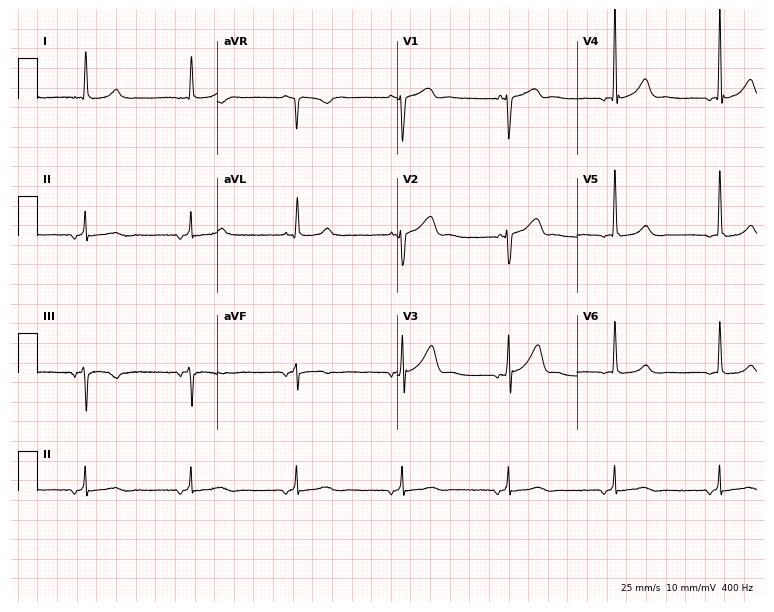
Standard 12-lead ECG recorded from a male, 73 years old. None of these six findings is recorded: first-degree AV block, right bundle branch block (RBBB), left bundle branch block (LBBB), sinus bradycardia, atrial fibrillation (AF), sinus tachycardia.